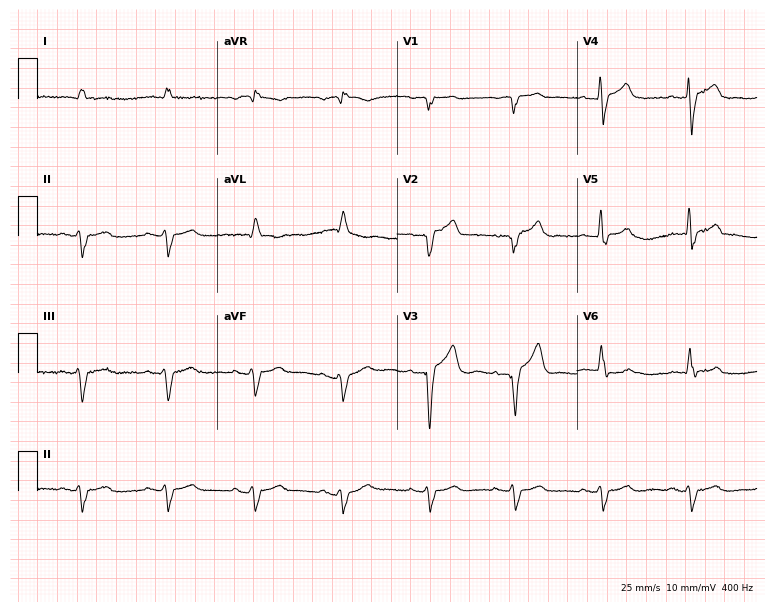
12-lead ECG from a male, 81 years old. No first-degree AV block, right bundle branch block, left bundle branch block, sinus bradycardia, atrial fibrillation or sinus tachycardia recorded for this tracing. Only these six findings were labelled.